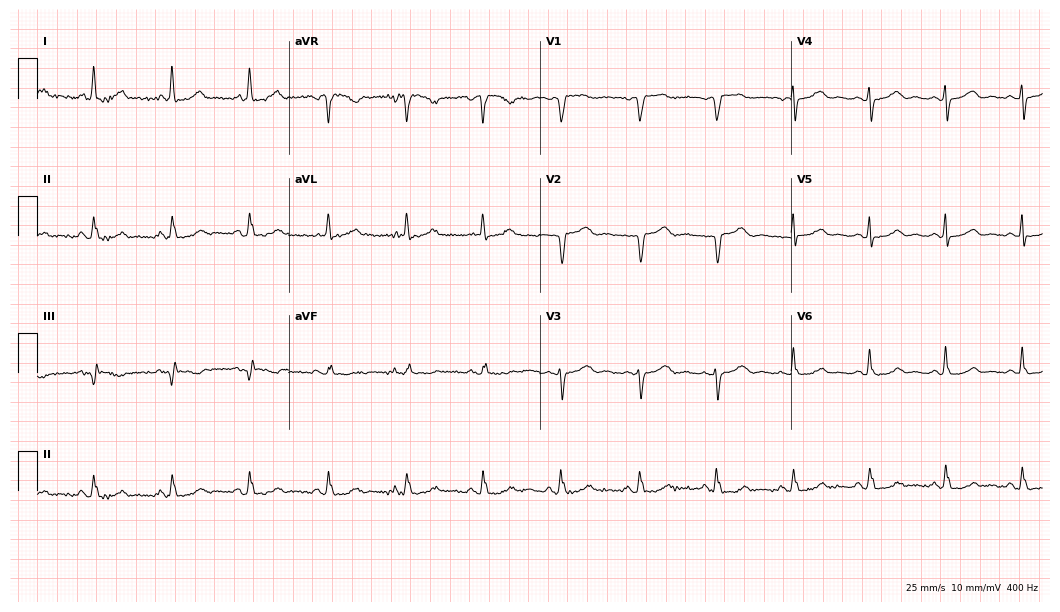
12-lead ECG from a female, 68 years old (10.2-second recording at 400 Hz). No first-degree AV block, right bundle branch block, left bundle branch block, sinus bradycardia, atrial fibrillation or sinus tachycardia recorded for this tracing. Findings outside these six are not listed.